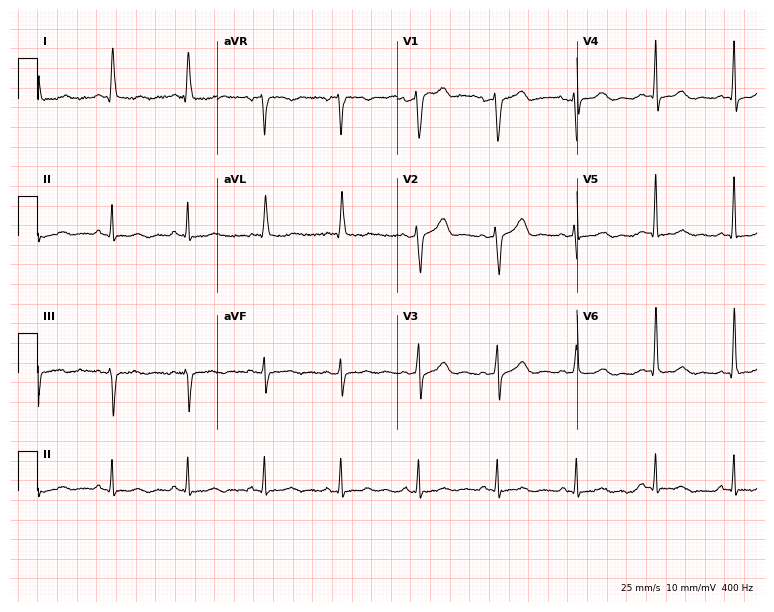
Standard 12-lead ECG recorded from a man, 82 years old (7.3-second recording at 400 Hz). None of these six findings is recorded: first-degree AV block, right bundle branch block, left bundle branch block, sinus bradycardia, atrial fibrillation, sinus tachycardia. Only these six findings were labelled.